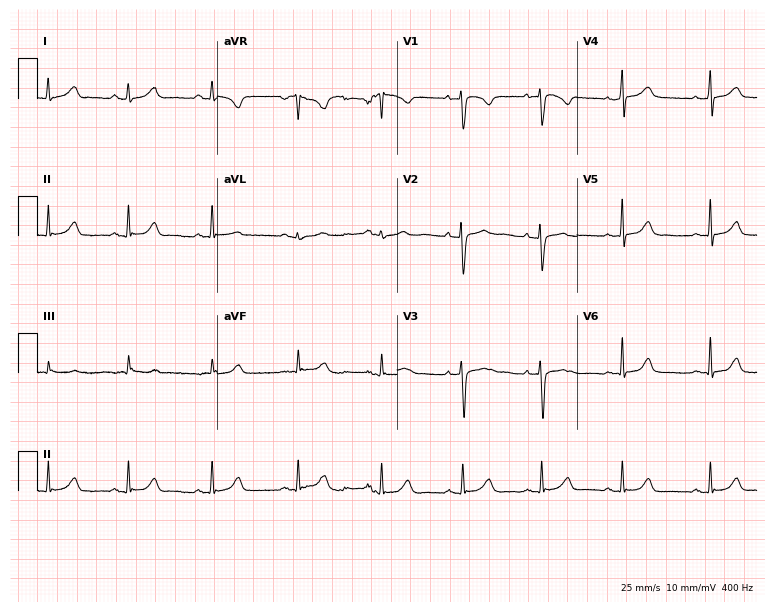
12-lead ECG from a 27-year-old female. Labelled as a normal ECG.